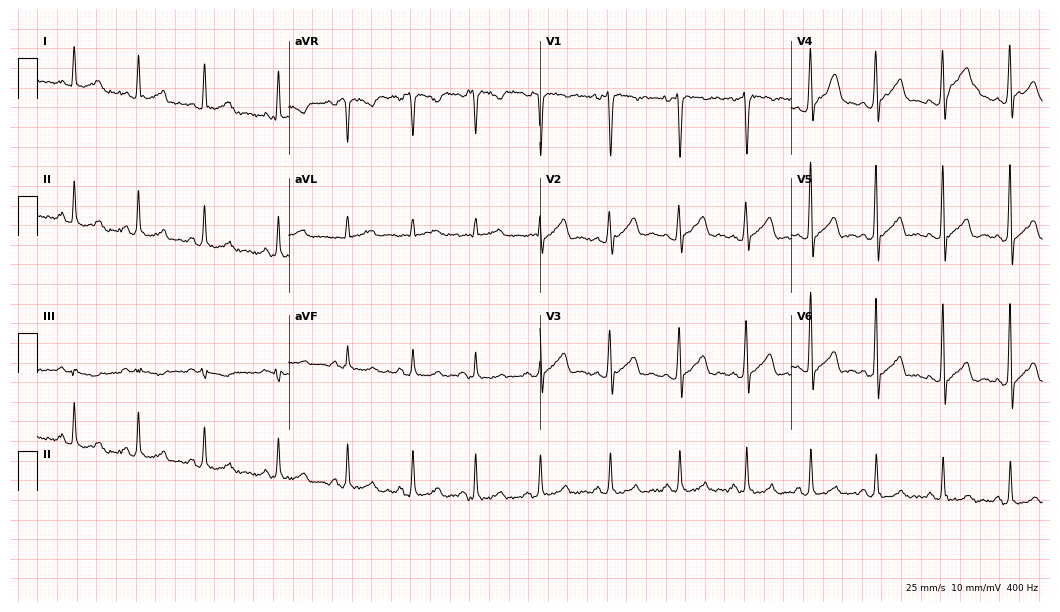
Electrocardiogram (10.2-second recording at 400 Hz), a 40-year-old male. Of the six screened findings (first-degree AV block, right bundle branch block, left bundle branch block, sinus bradycardia, atrial fibrillation, sinus tachycardia), none is recorded.